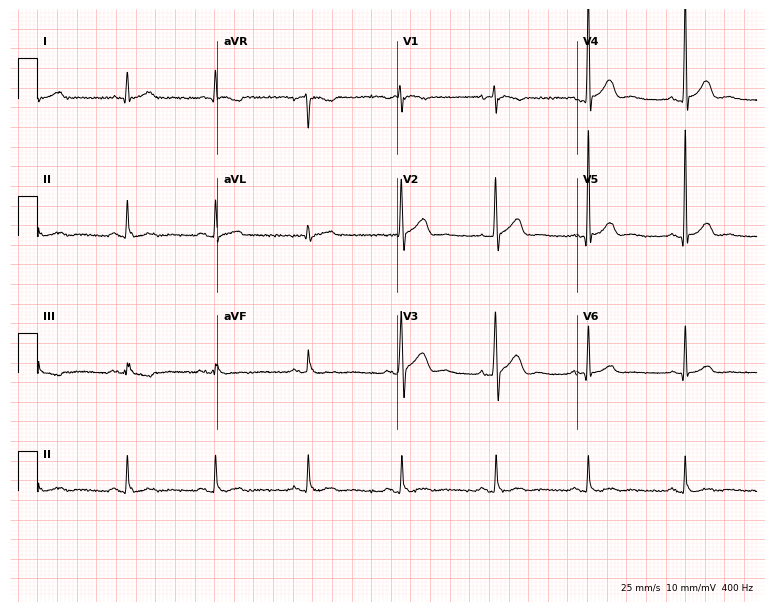
Electrocardiogram, a male patient, 76 years old. Of the six screened findings (first-degree AV block, right bundle branch block (RBBB), left bundle branch block (LBBB), sinus bradycardia, atrial fibrillation (AF), sinus tachycardia), none is recorded. Only these six findings were labelled.